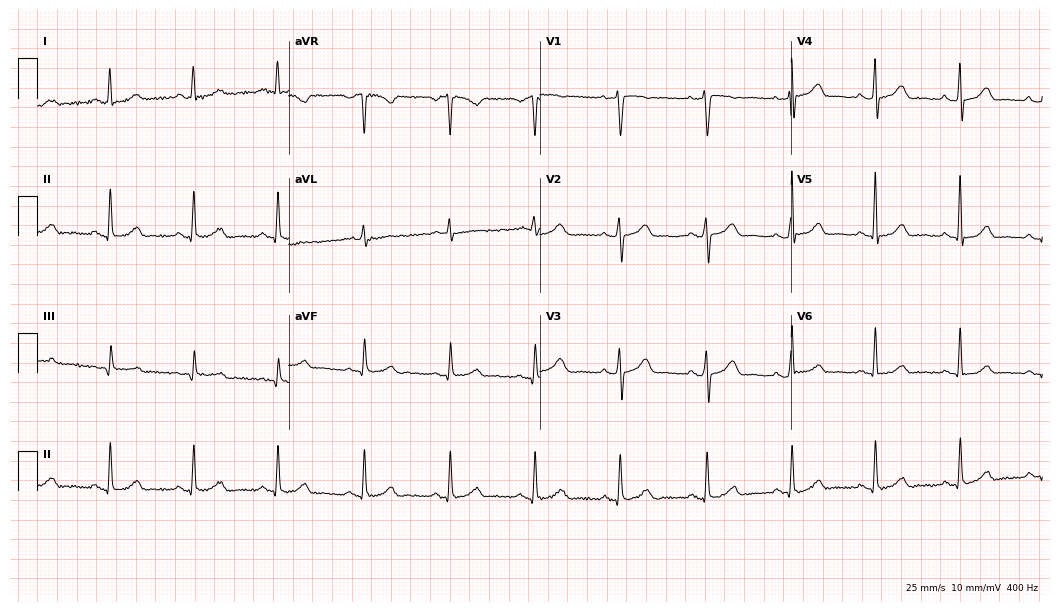
Electrocardiogram (10.2-second recording at 400 Hz), a female patient, 45 years old. Overall reading on record: normal ECG.